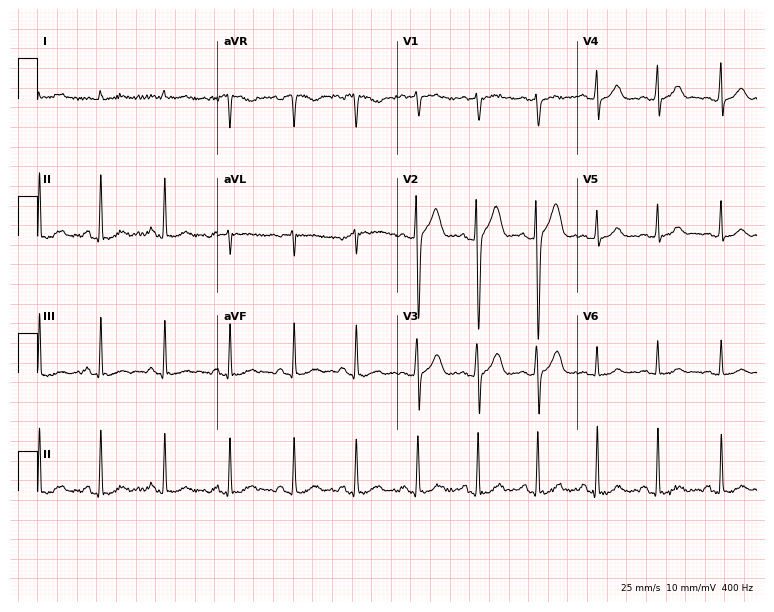
12-lead ECG from a male, 36 years old. Screened for six findings — first-degree AV block, right bundle branch block, left bundle branch block, sinus bradycardia, atrial fibrillation, sinus tachycardia — none is recorded. Other findings, if any, are not listed.